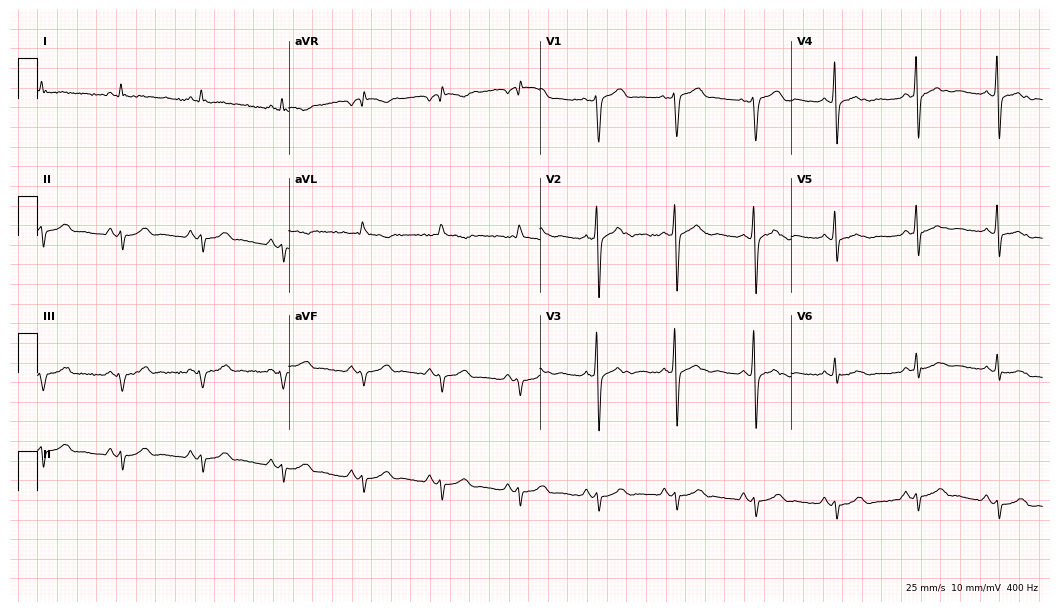
Resting 12-lead electrocardiogram (10.2-second recording at 400 Hz). Patient: a 62-year-old male. None of these six findings is recorded: first-degree AV block, right bundle branch block, left bundle branch block, sinus bradycardia, atrial fibrillation, sinus tachycardia.